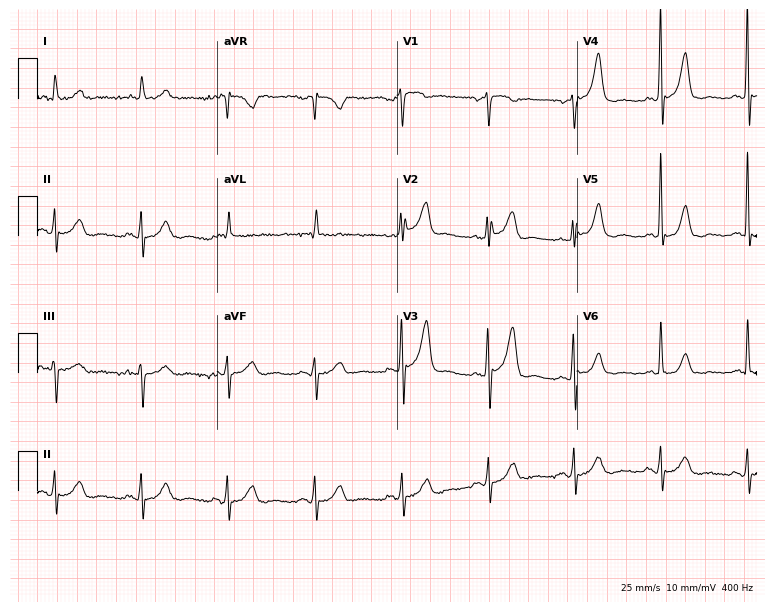
12-lead ECG from a 73-year-old man. No first-degree AV block, right bundle branch block, left bundle branch block, sinus bradycardia, atrial fibrillation or sinus tachycardia recorded for this tracing. Findings outside these six are not listed.